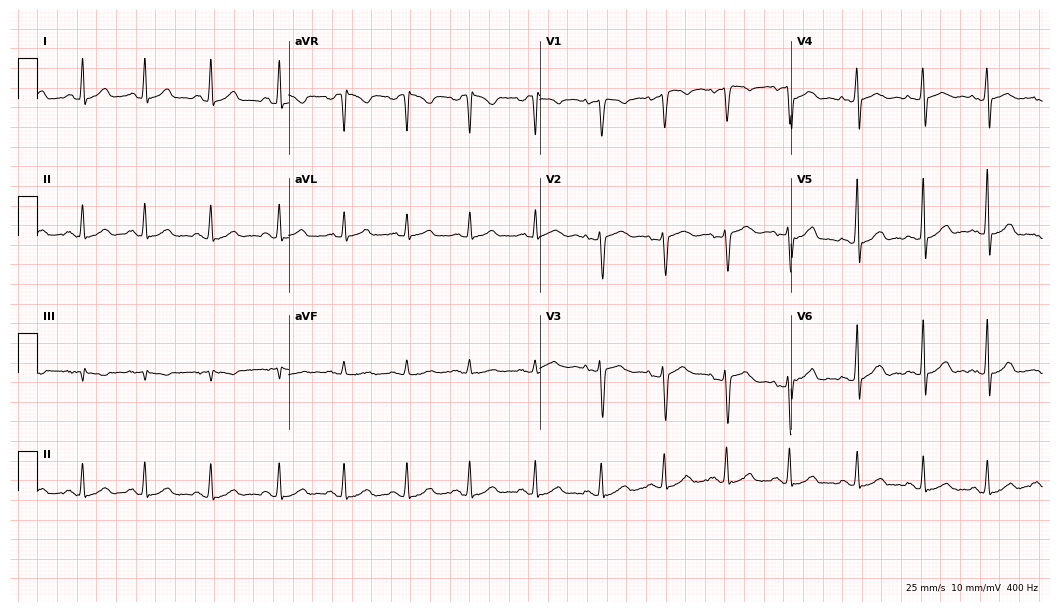
Electrocardiogram, a female patient, 29 years old. Overall reading on record: normal ECG.